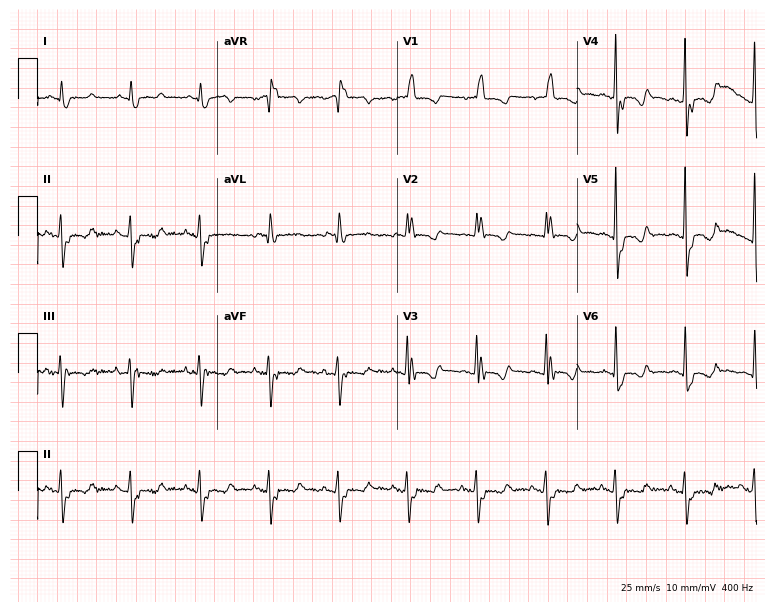
12-lead ECG (7.3-second recording at 400 Hz) from a woman, 62 years old. Screened for six findings — first-degree AV block, right bundle branch block, left bundle branch block, sinus bradycardia, atrial fibrillation, sinus tachycardia — none is recorded. Findings outside these six are not listed.